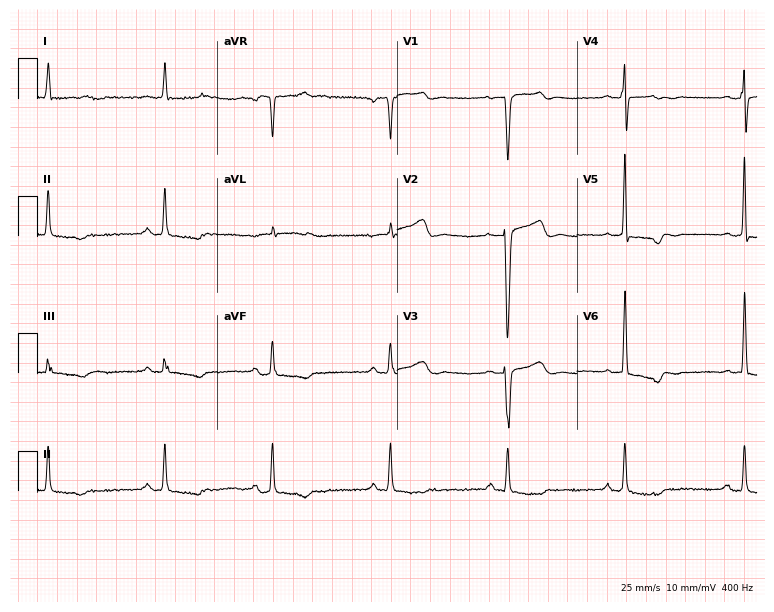
ECG — a female patient, 77 years old. Findings include sinus bradycardia (a sinus rate of 50 beats per minute or less).